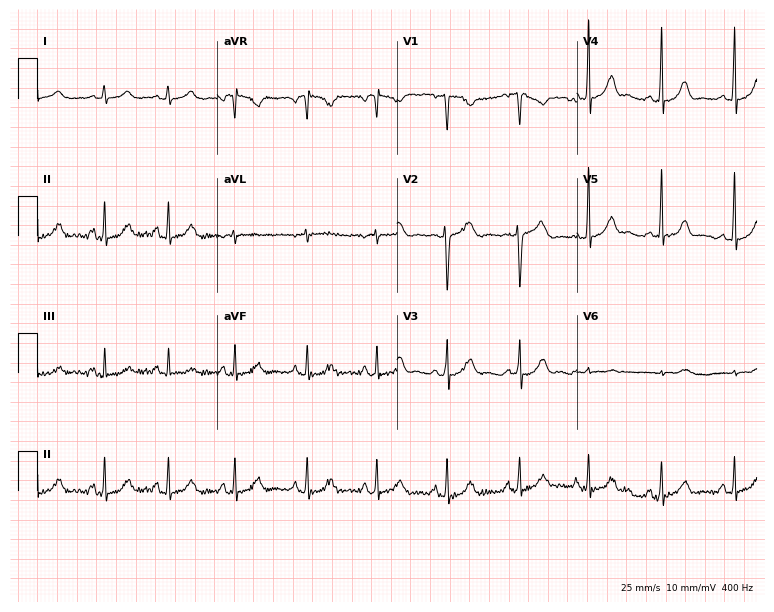
Resting 12-lead electrocardiogram. Patient: a female, 18 years old. None of these six findings is recorded: first-degree AV block, right bundle branch block, left bundle branch block, sinus bradycardia, atrial fibrillation, sinus tachycardia. Only these six findings were labelled.